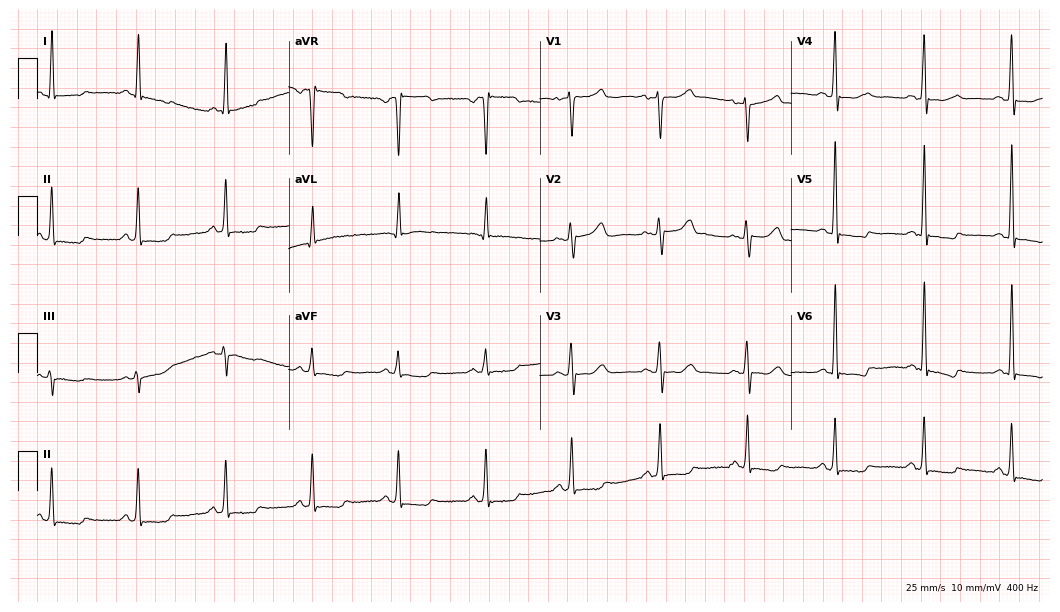
ECG (10.2-second recording at 400 Hz) — a 53-year-old woman. Screened for six findings — first-degree AV block, right bundle branch block (RBBB), left bundle branch block (LBBB), sinus bradycardia, atrial fibrillation (AF), sinus tachycardia — none is recorded.